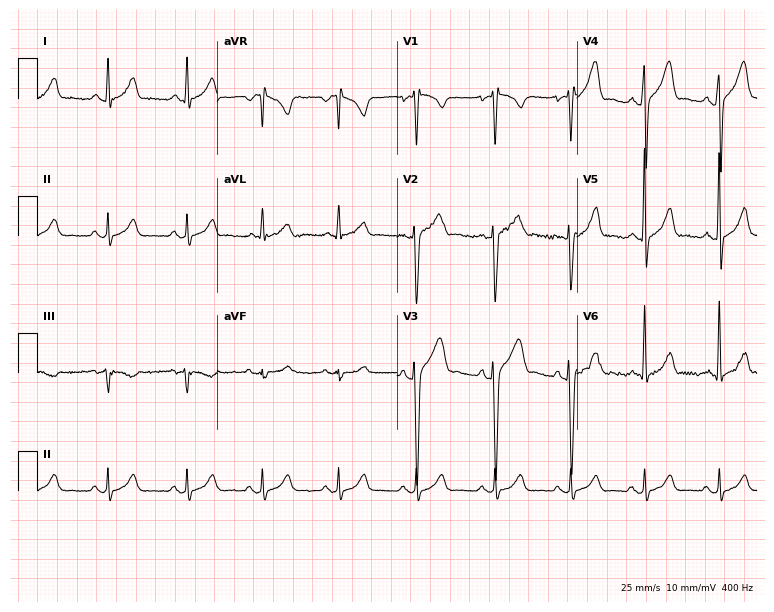
12-lead ECG from a male, 17 years old (7.3-second recording at 400 Hz). No first-degree AV block, right bundle branch block (RBBB), left bundle branch block (LBBB), sinus bradycardia, atrial fibrillation (AF) or sinus tachycardia recorded for this tracing.